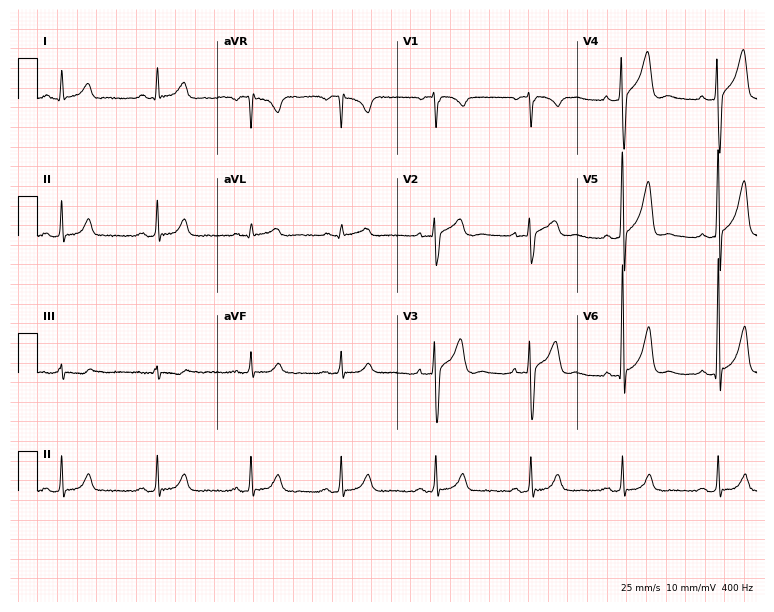
Electrocardiogram (7.3-second recording at 400 Hz), a man, 36 years old. Overall reading on record: normal ECG.